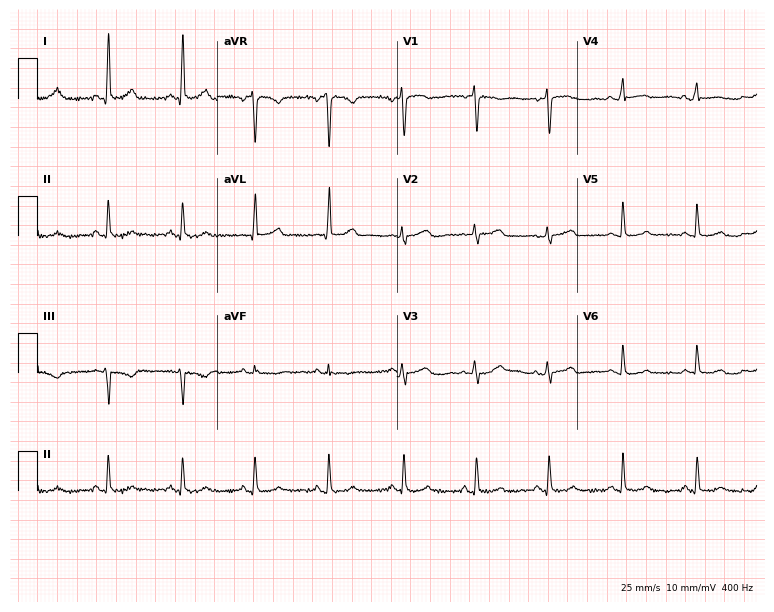
12-lead ECG from a woman, 57 years old. Screened for six findings — first-degree AV block, right bundle branch block, left bundle branch block, sinus bradycardia, atrial fibrillation, sinus tachycardia — none is recorded. Other findings, if any, are not listed.